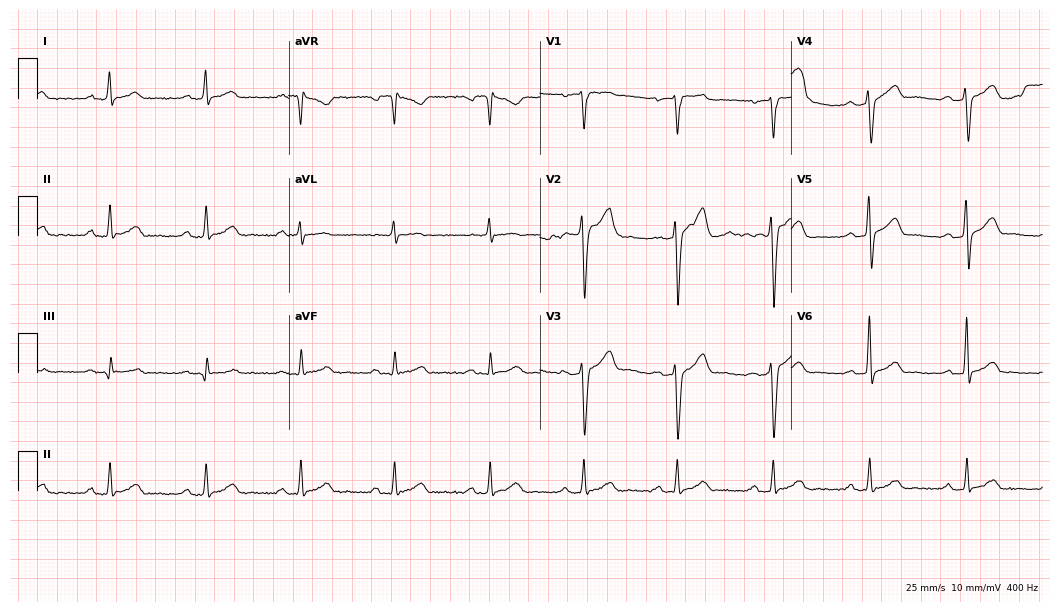
Resting 12-lead electrocardiogram. Patient: a 41-year-old man. The tracing shows first-degree AV block.